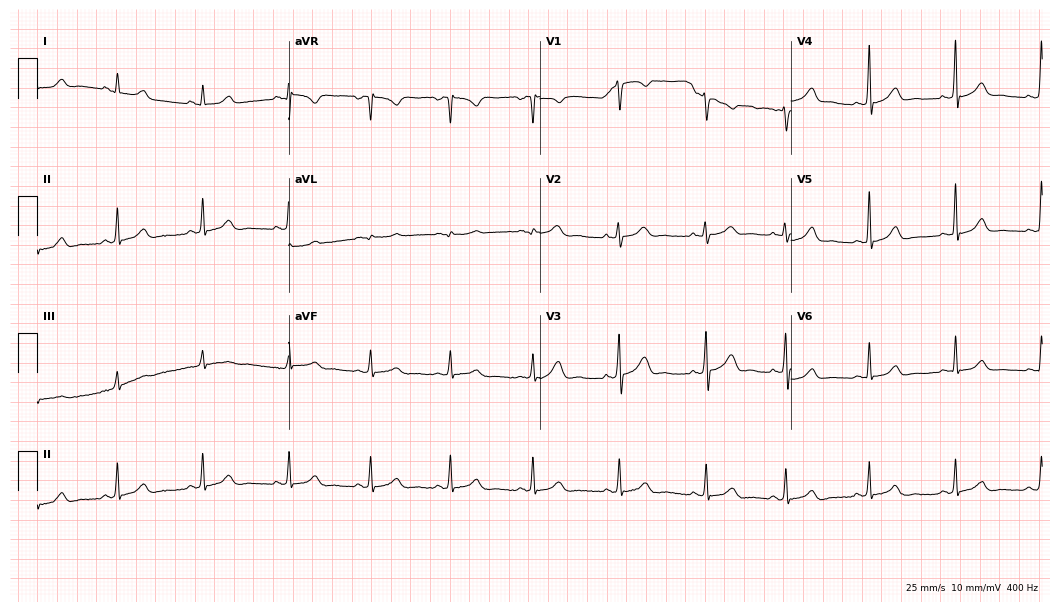
Standard 12-lead ECG recorded from a female, 35 years old (10.2-second recording at 400 Hz). Read as a normal ECG.